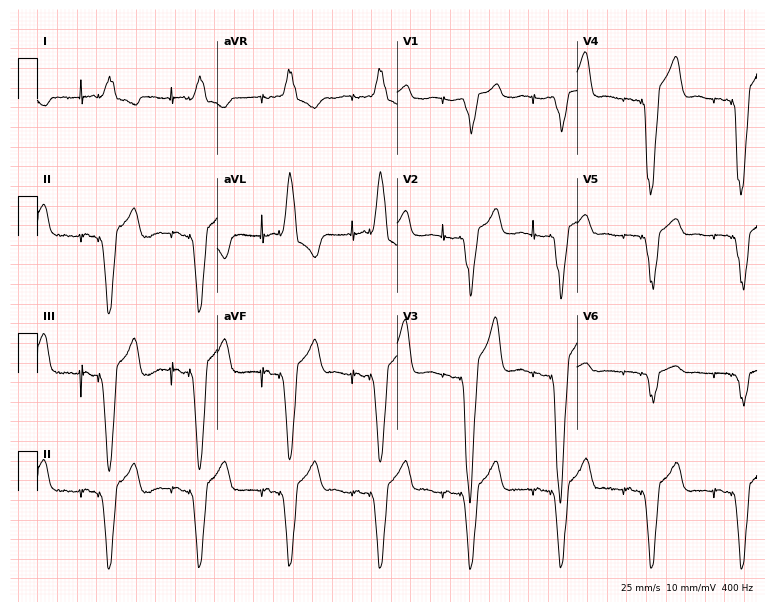
12-lead ECG from an 81-year-old female patient. No first-degree AV block, right bundle branch block, left bundle branch block, sinus bradycardia, atrial fibrillation or sinus tachycardia recorded for this tracing.